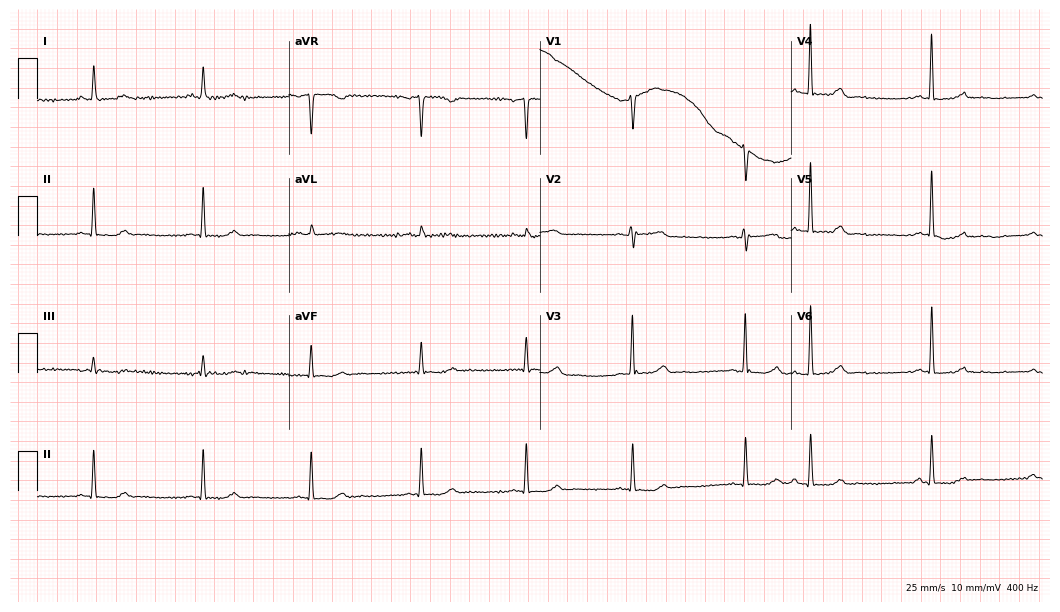
Standard 12-lead ECG recorded from a 75-year-old woman. None of these six findings is recorded: first-degree AV block, right bundle branch block, left bundle branch block, sinus bradycardia, atrial fibrillation, sinus tachycardia. Findings outside these six are not listed.